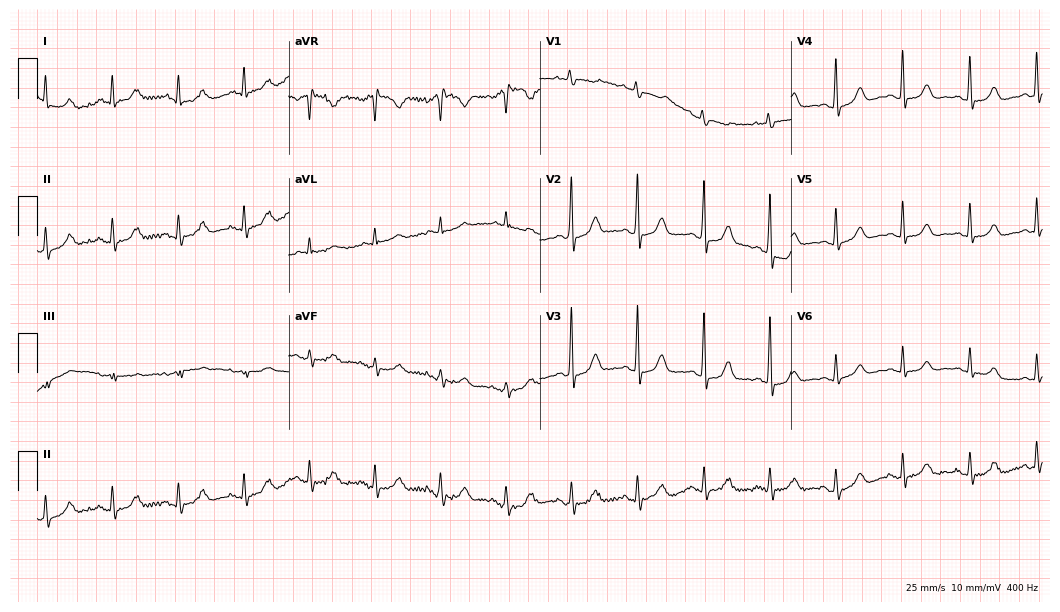
Electrocardiogram (10.2-second recording at 400 Hz), a 52-year-old woman. Overall reading on record: normal ECG.